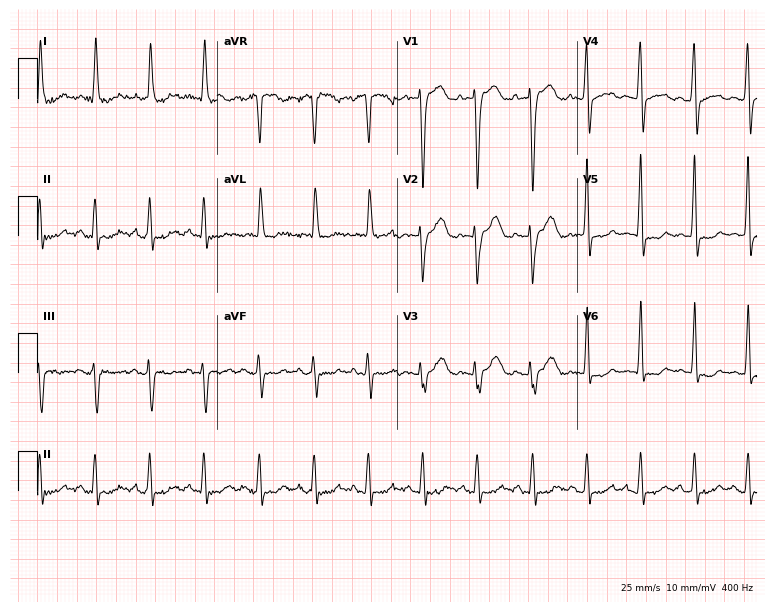
Electrocardiogram, a 63-year-old woman. Of the six screened findings (first-degree AV block, right bundle branch block, left bundle branch block, sinus bradycardia, atrial fibrillation, sinus tachycardia), none is recorded. Only these six findings were labelled.